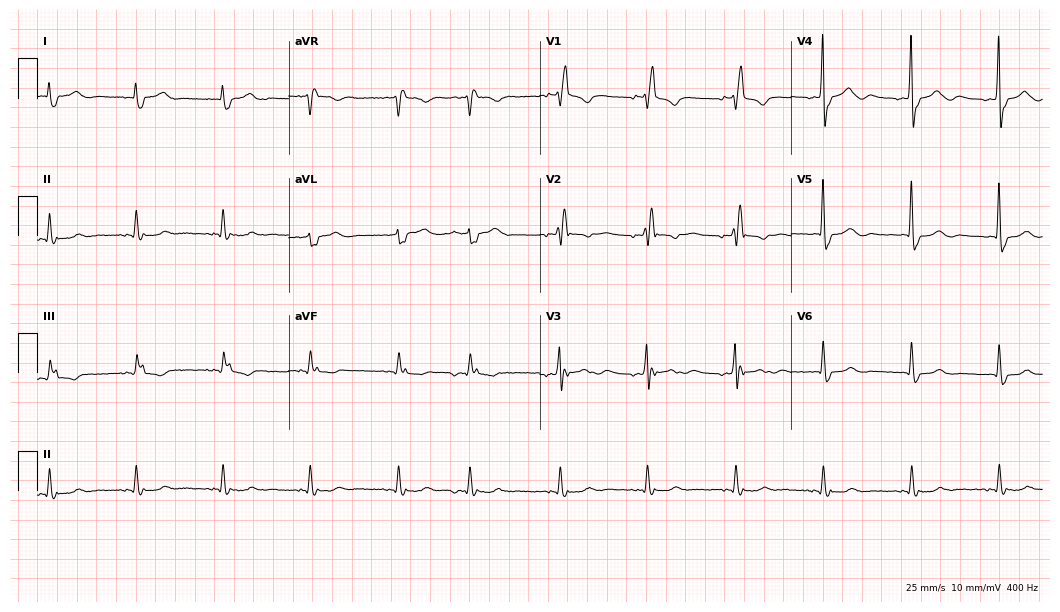
Resting 12-lead electrocardiogram (10.2-second recording at 400 Hz). Patient: a 76-year-old man. The tracing shows right bundle branch block.